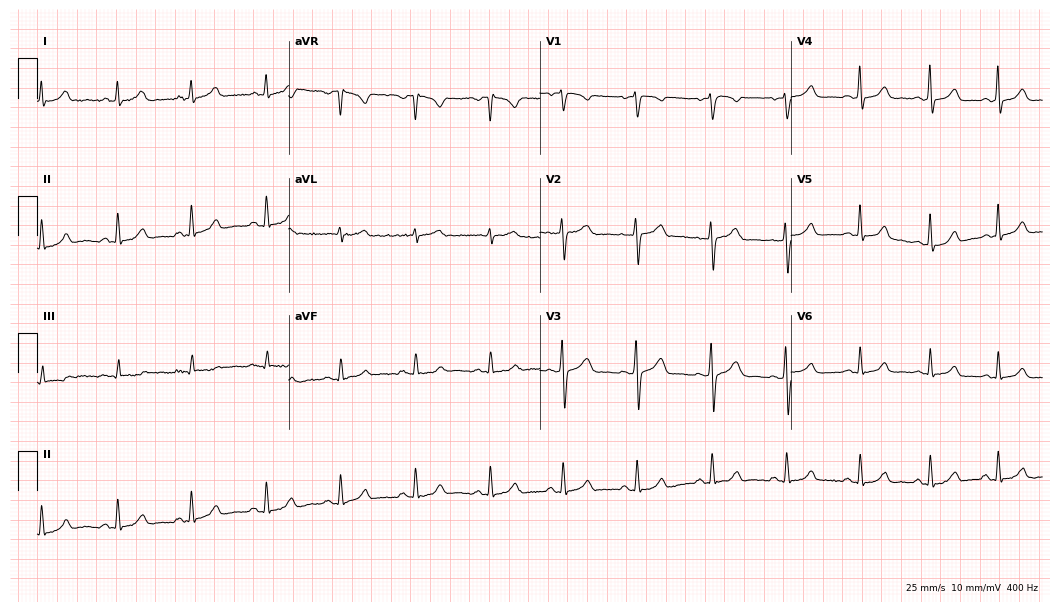
12-lead ECG from a 39-year-old female. Recorded interpretation: within normal limits.